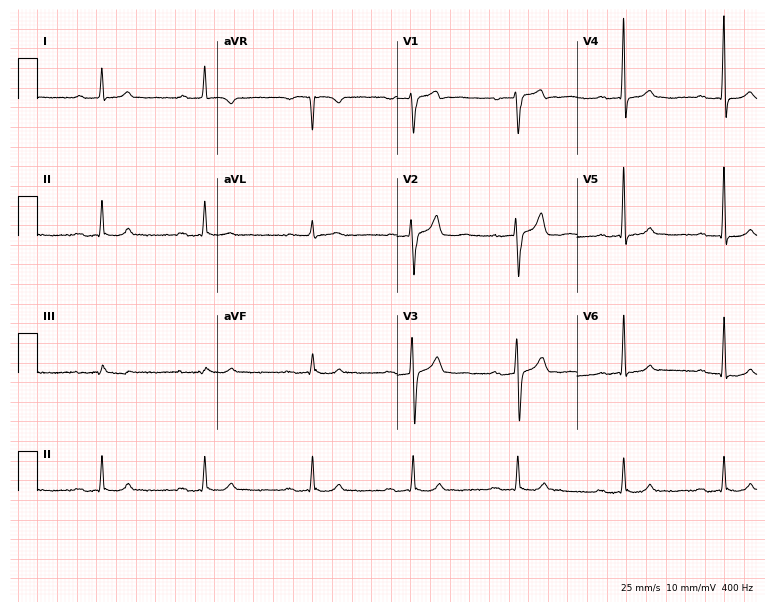
Electrocardiogram, a 64-year-old man. Interpretation includes first-degree AV block.